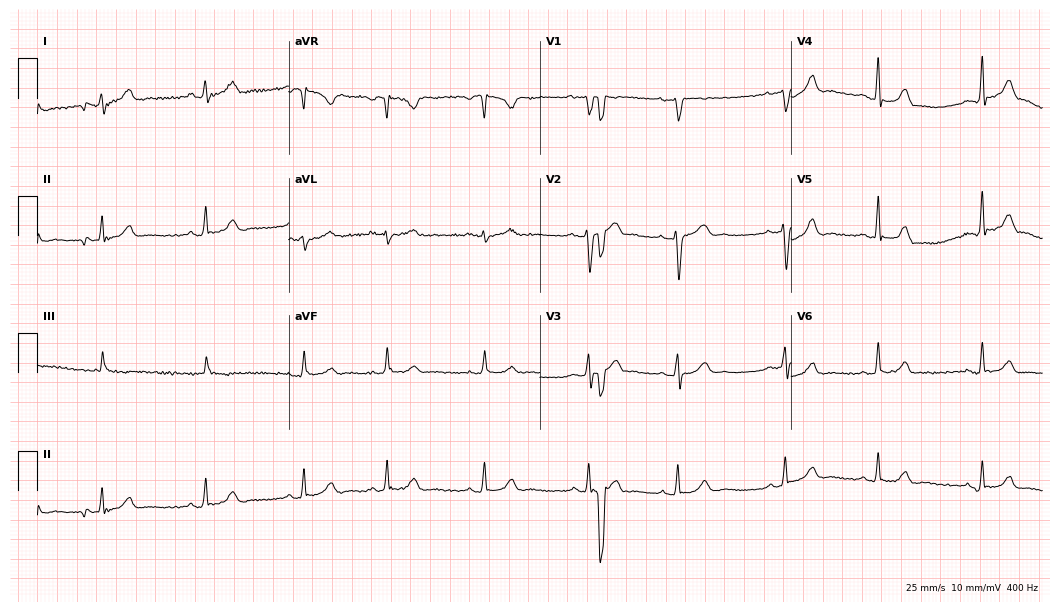
Standard 12-lead ECG recorded from a woman, 19 years old. None of these six findings is recorded: first-degree AV block, right bundle branch block (RBBB), left bundle branch block (LBBB), sinus bradycardia, atrial fibrillation (AF), sinus tachycardia.